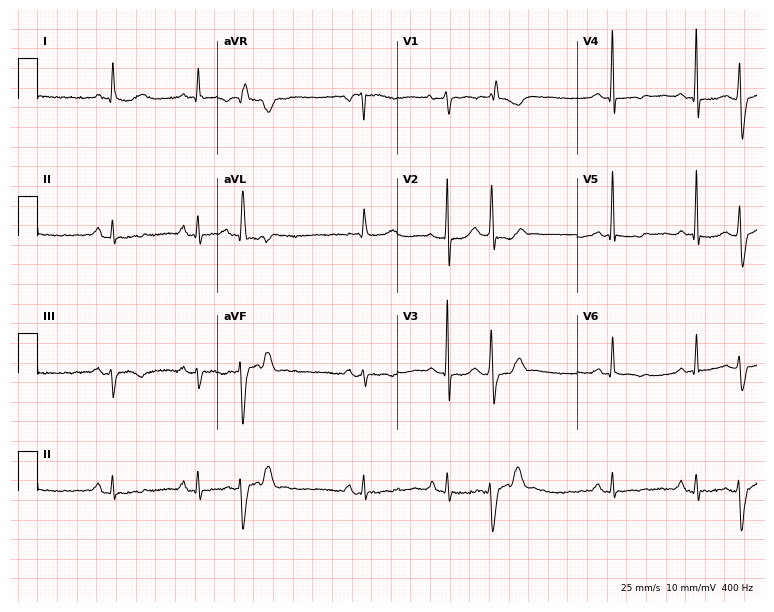
Standard 12-lead ECG recorded from a woman, 82 years old (7.3-second recording at 400 Hz). None of these six findings is recorded: first-degree AV block, right bundle branch block, left bundle branch block, sinus bradycardia, atrial fibrillation, sinus tachycardia. Only these six findings were labelled.